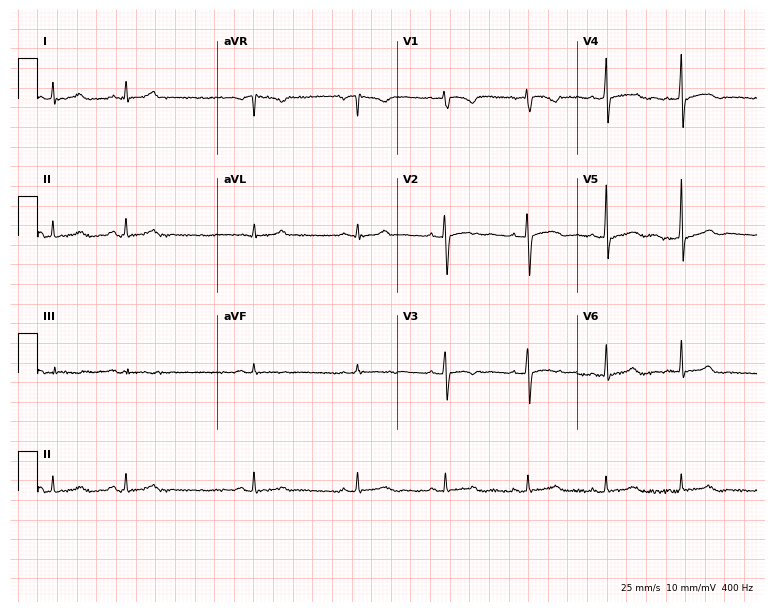
12-lead ECG from a female, 39 years old (7.3-second recording at 400 Hz). No first-degree AV block, right bundle branch block, left bundle branch block, sinus bradycardia, atrial fibrillation or sinus tachycardia recorded for this tracing. Only these six findings were labelled.